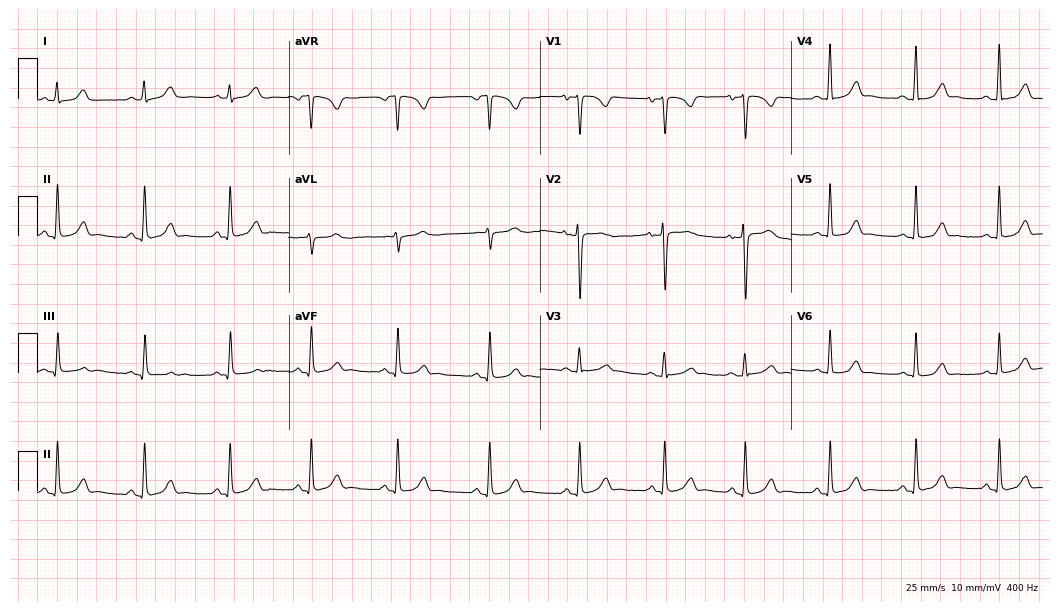
ECG — a 34-year-old female. Labelled as a normal ECG.